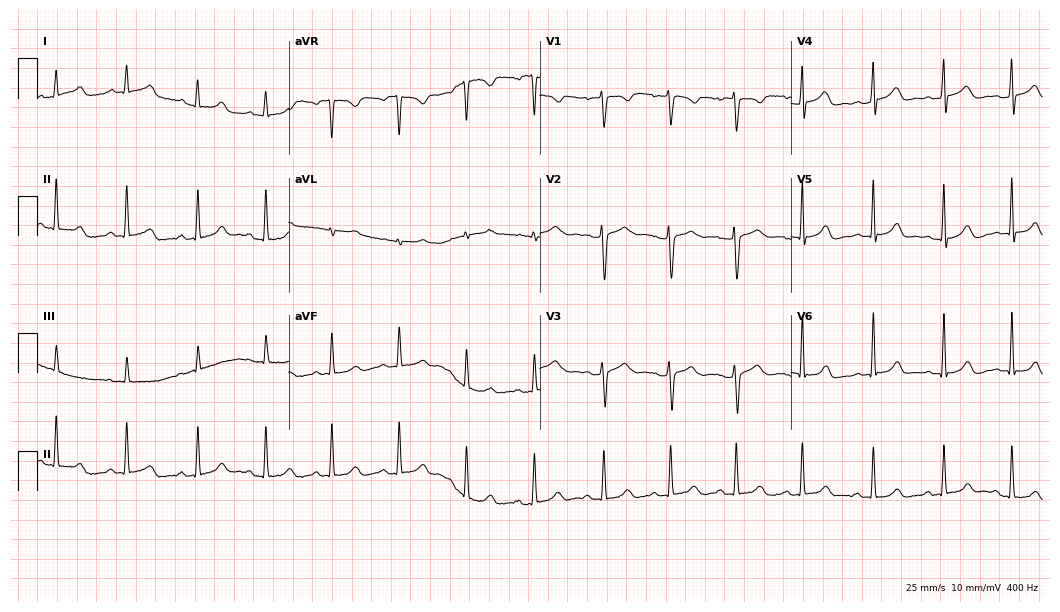
Electrocardiogram (10.2-second recording at 400 Hz), a female patient, 20 years old. Overall reading on record: normal ECG.